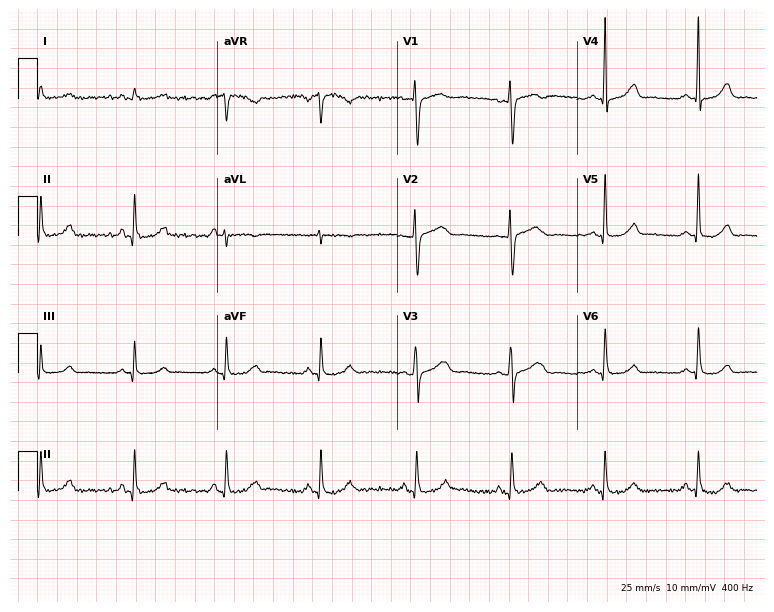
12-lead ECG from a 52-year-old woman (7.3-second recording at 400 Hz). No first-degree AV block, right bundle branch block, left bundle branch block, sinus bradycardia, atrial fibrillation or sinus tachycardia recorded for this tracing.